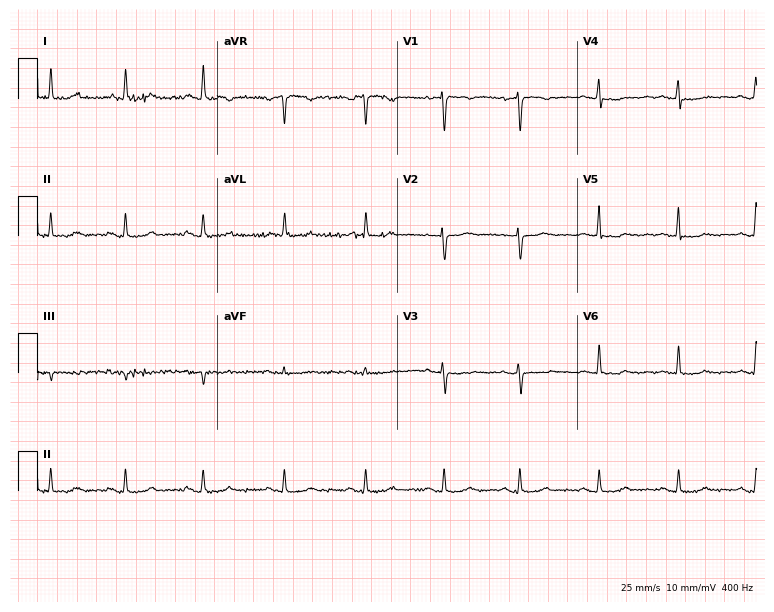
Resting 12-lead electrocardiogram (7.3-second recording at 400 Hz). Patient: a female, 63 years old. None of these six findings is recorded: first-degree AV block, right bundle branch block, left bundle branch block, sinus bradycardia, atrial fibrillation, sinus tachycardia. Other findings, if any, are not listed.